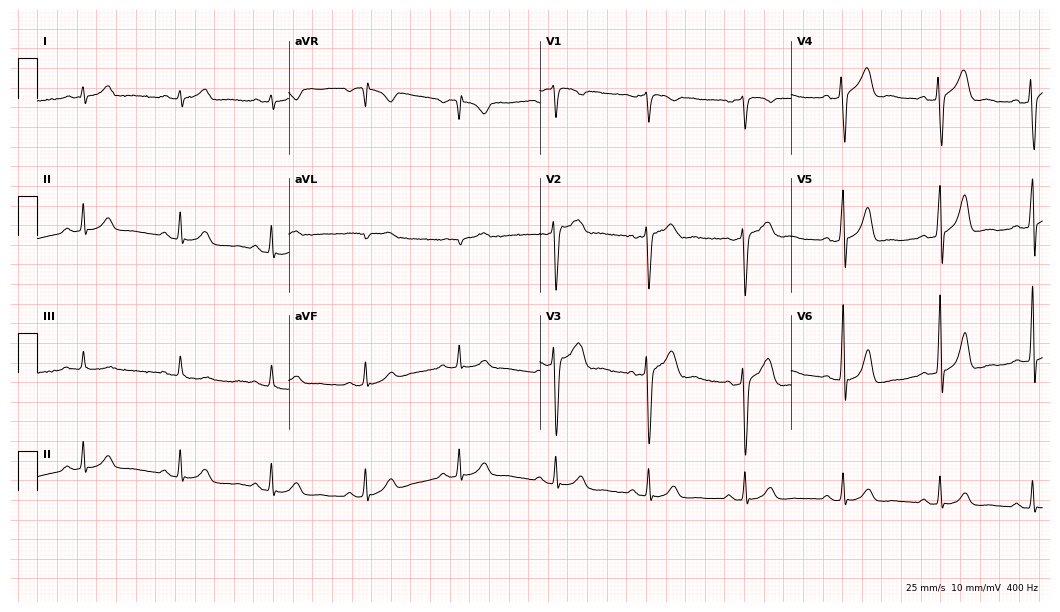
ECG — a 45-year-old male. Labelled as a normal ECG.